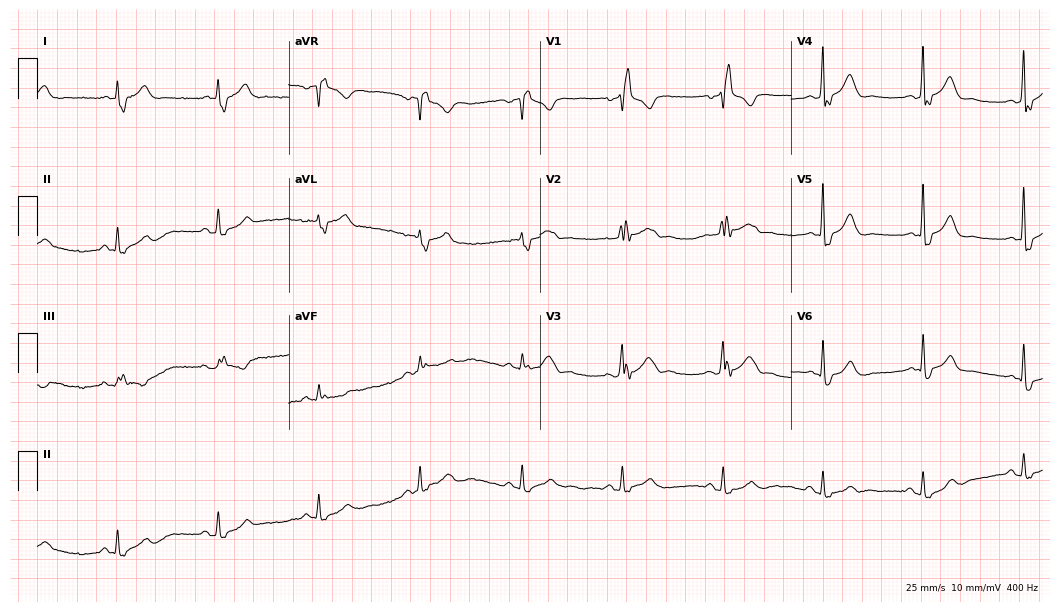
Resting 12-lead electrocardiogram. Patient: a 54-year-old male. The tracing shows right bundle branch block.